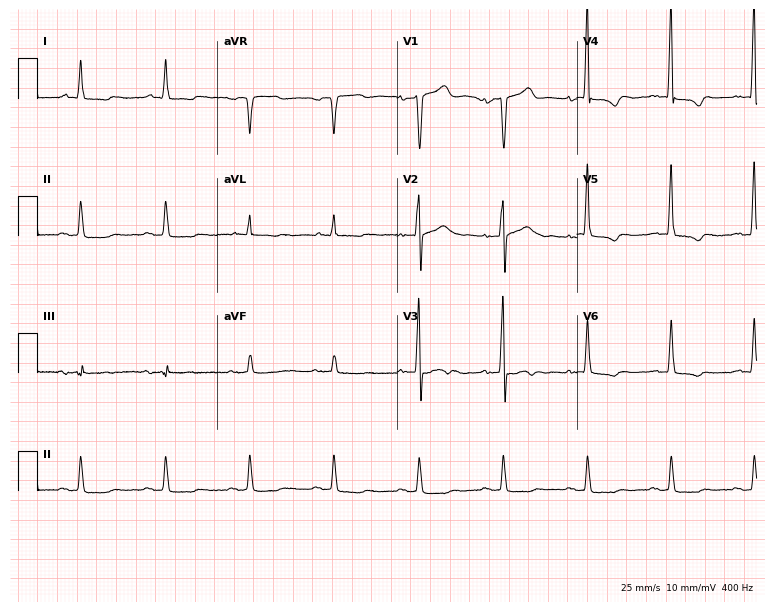
Resting 12-lead electrocardiogram. Patient: a man, 75 years old. None of these six findings is recorded: first-degree AV block, right bundle branch block, left bundle branch block, sinus bradycardia, atrial fibrillation, sinus tachycardia. Only these six findings were labelled.